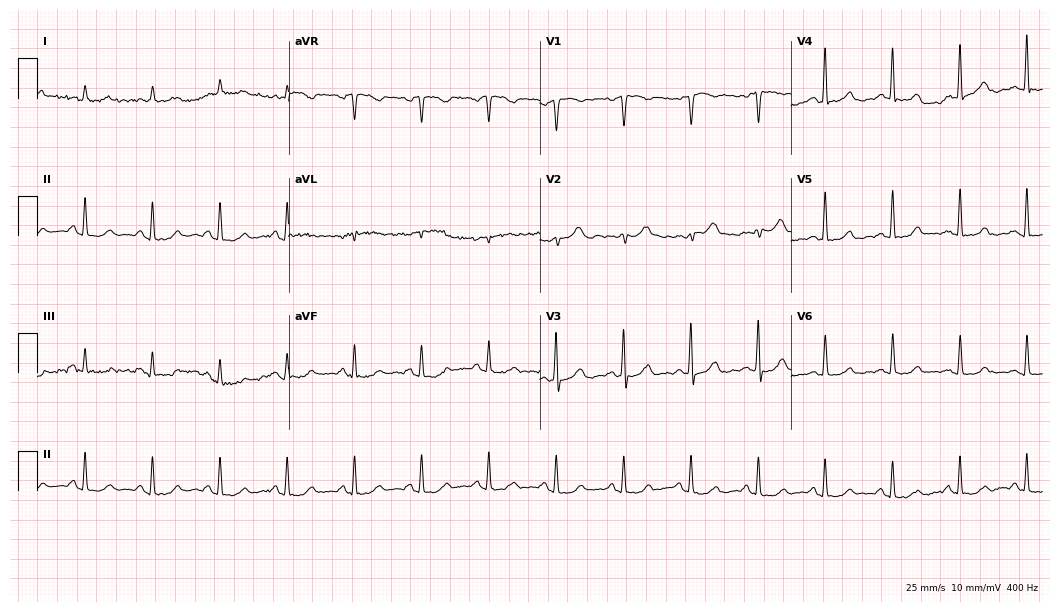
Electrocardiogram (10.2-second recording at 400 Hz), a 51-year-old female. Overall reading on record: normal ECG.